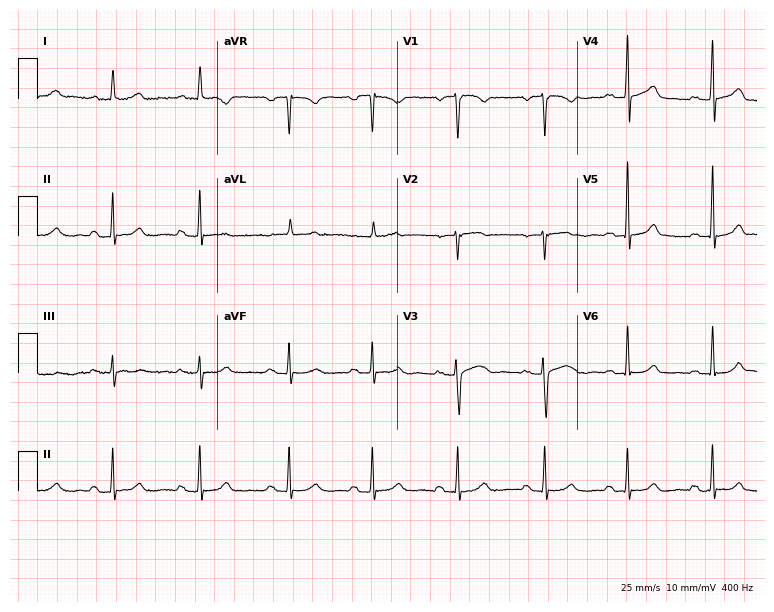
12-lead ECG from a female, 46 years old (7.3-second recording at 400 Hz). Recorded interpretation: within normal limits.